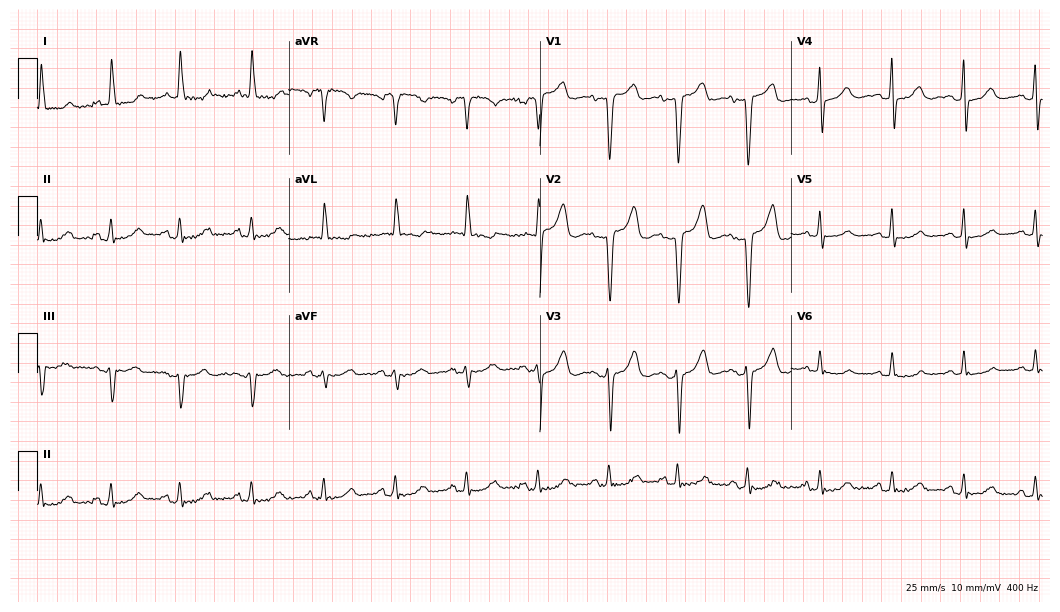
Resting 12-lead electrocardiogram (10.2-second recording at 400 Hz). Patient: a 75-year-old female. None of these six findings is recorded: first-degree AV block, right bundle branch block, left bundle branch block, sinus bradycardia, atrial fibrillation, sinus tachycardia. Only these six findings were labelled.